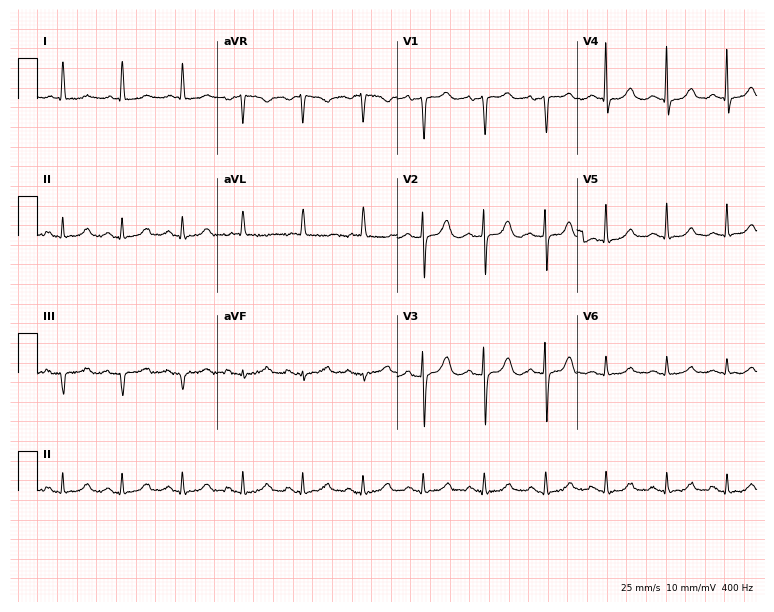
ECG (7.3-second recording at 400 Hz) — a 77-year-old female. Labelled as a normal ECG.